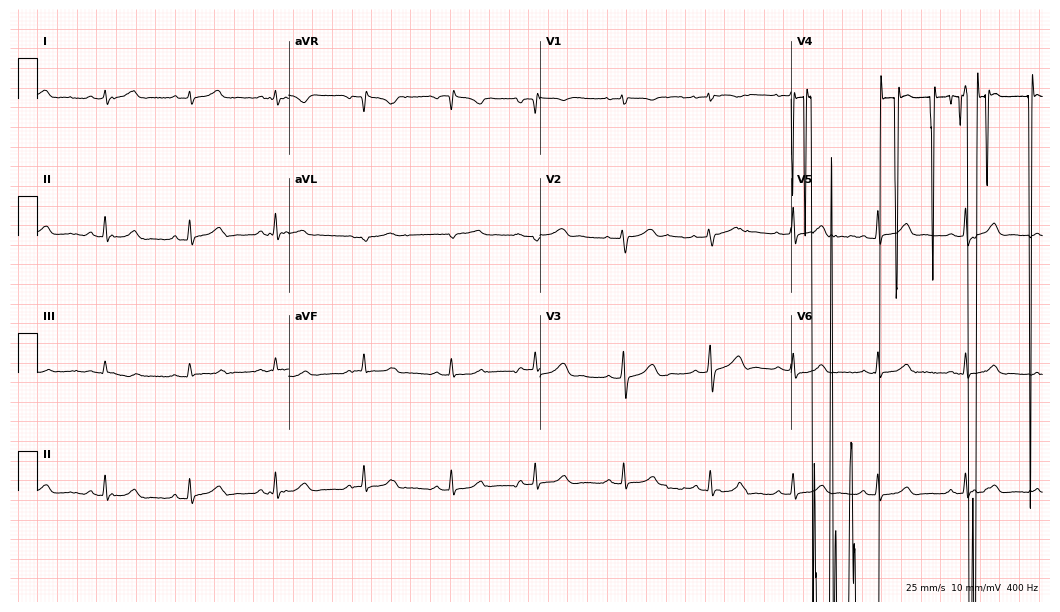
12-lead ECG (10.2-second recording at 400 Hz) from a female, 39 years old. Screened for six findings — first-degree AV block, right bundle branch block, left bundle branch block, sinus bradycardia, atrial fibrillation, sinus tachycardia — none is recorded.